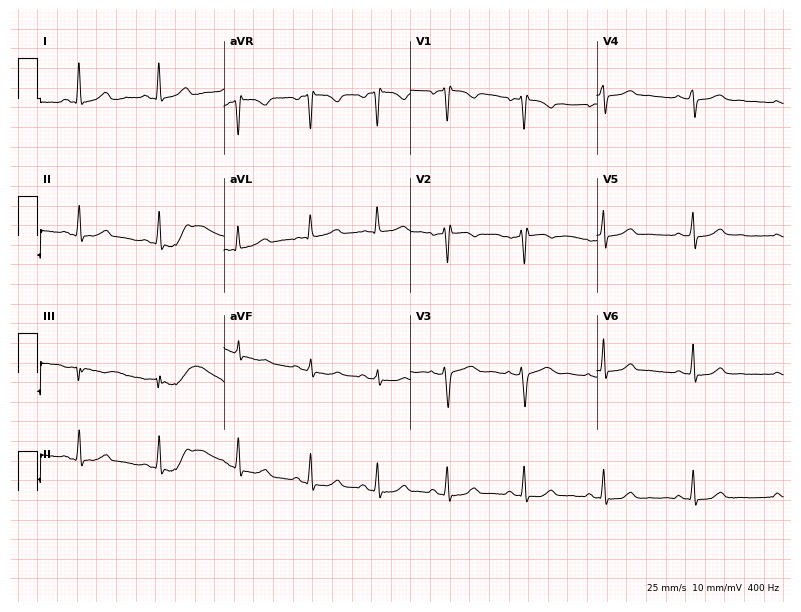
ECG — a female, 38 years old. Labelled as a normal ECG.